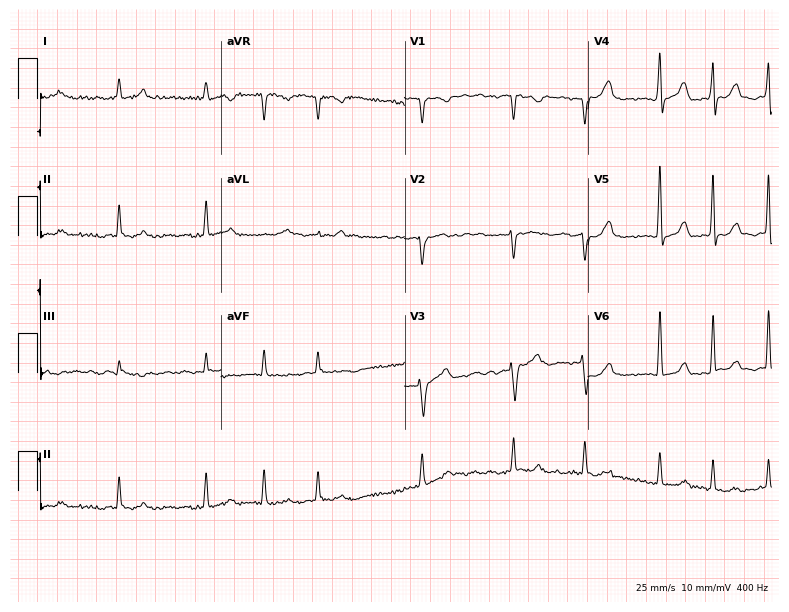
12-lead ECG from a 79-year-old woman. Shows atrial fibrillation (AF).